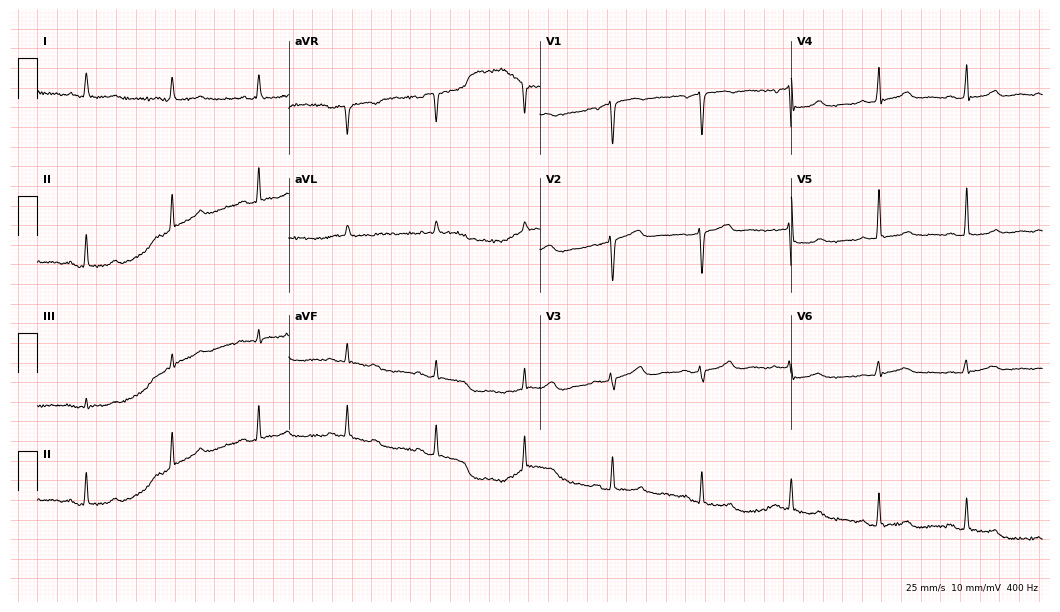
Electrocardiogram (10.2-second recording at 400 Hz), an 84-year-old female patient. Overall reading on record: normal ECG.